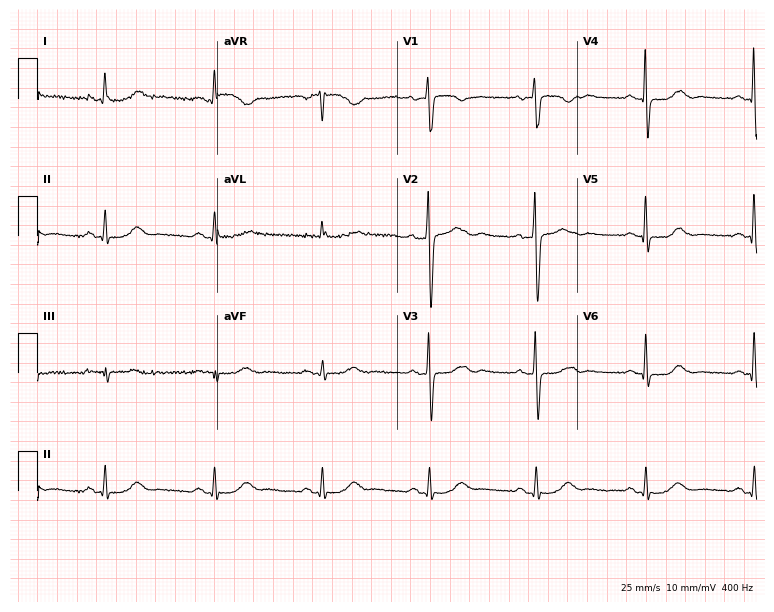
Resting 12-lead electrocardiogram (7.3-second recording at 400 Hz). Patient: a 56-year-old female. None of these six findings is recorded: first-degree AV block, right bundle branch block (RBBB), left bundle branch block (LBBB), sinus bradycardia, atrial fibrillation (AF), sinus tachycardia. Findings outside these six are not listed.